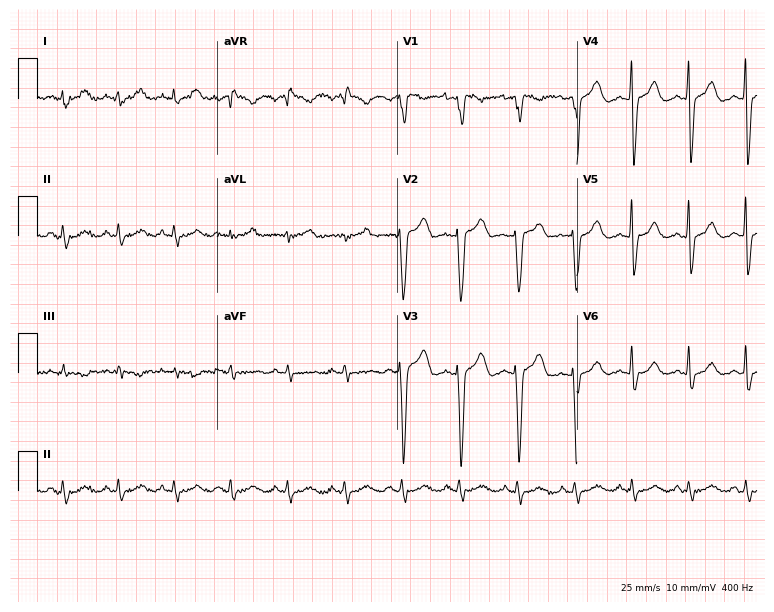
Electrocardiogram, a male, 31 years old. Interpretation includes sinus tachycardia (a sinus rate of 100 beats per minute or more).